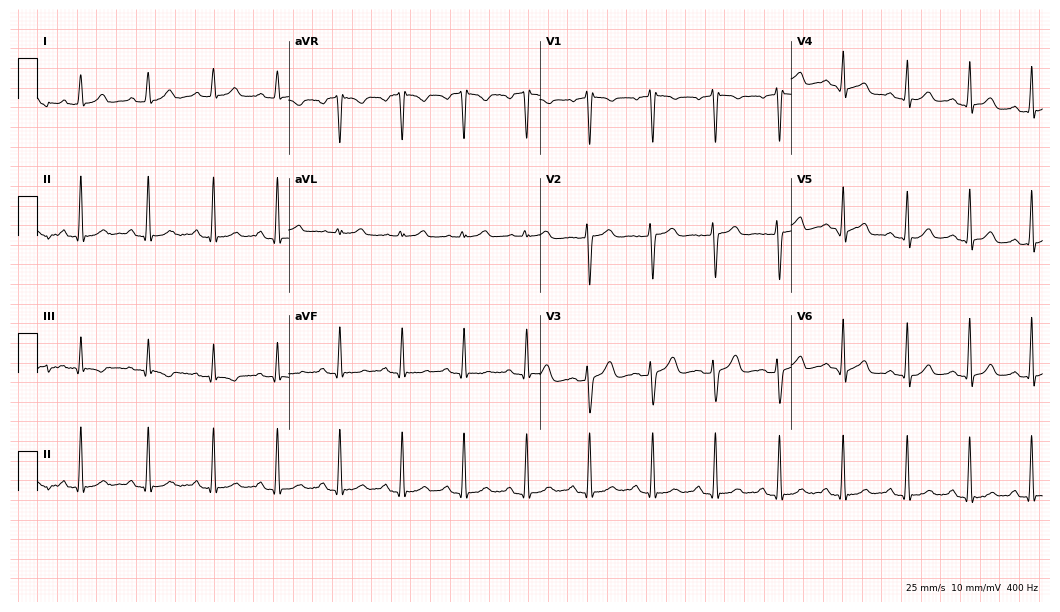
Standard 12-lead ECG recorded from a female patient, 21 years old. Read as a normal ECG.